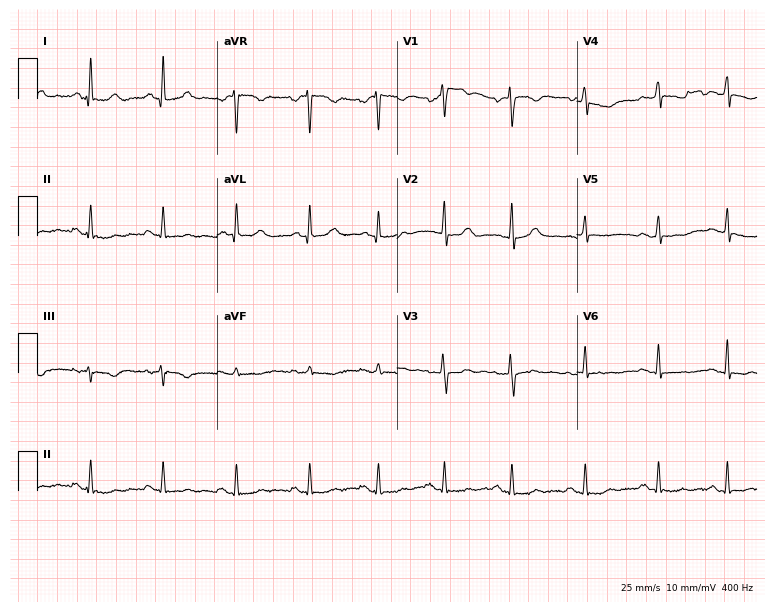
12-lead ECG from a woman, 43 years old. No first-degree AV block, right bundle branch block (RBBB), left bundle branch block (LBBB), sinus bradycardia, atrial fibrillation (AF) or sinus tachycardia recorded for this tracing. Only these six findings were labelled.